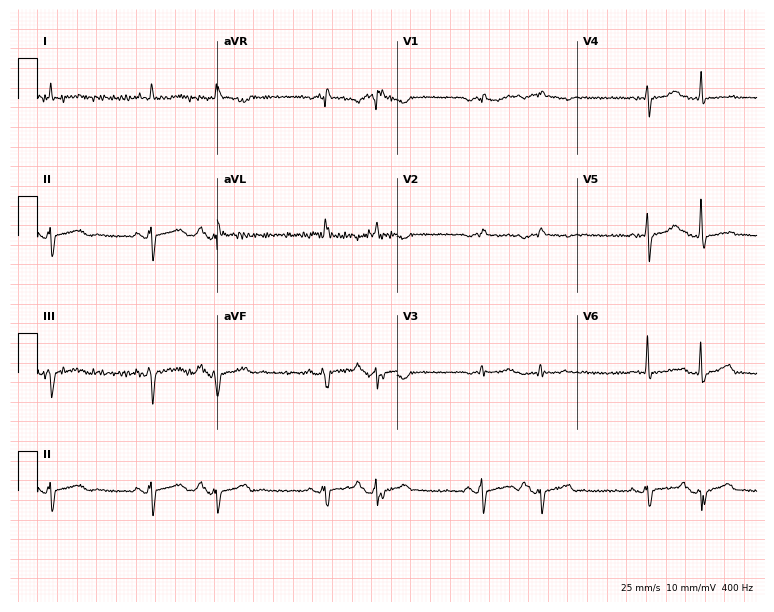
12-lead ECG from an 82-year-old man (7.3-second recording at 400 Hz). No first-degree AV block, right bundle branch block, left bundle branch block, sinus bradycardia, atrial fibrillation or sinus tachycardia recorded for this tracing. Findings outside these six are not listed.